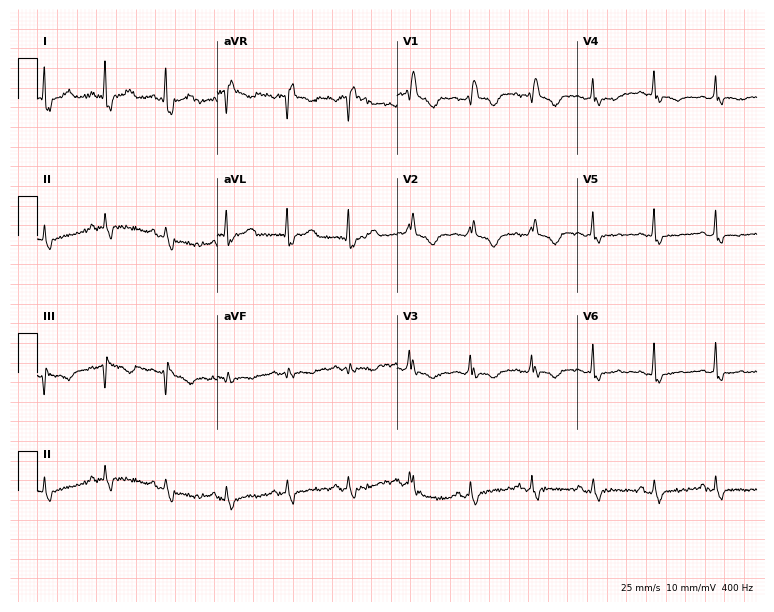
Electrocardiogram, a 53-year-old female. Interpretation includes right bundle branch block.